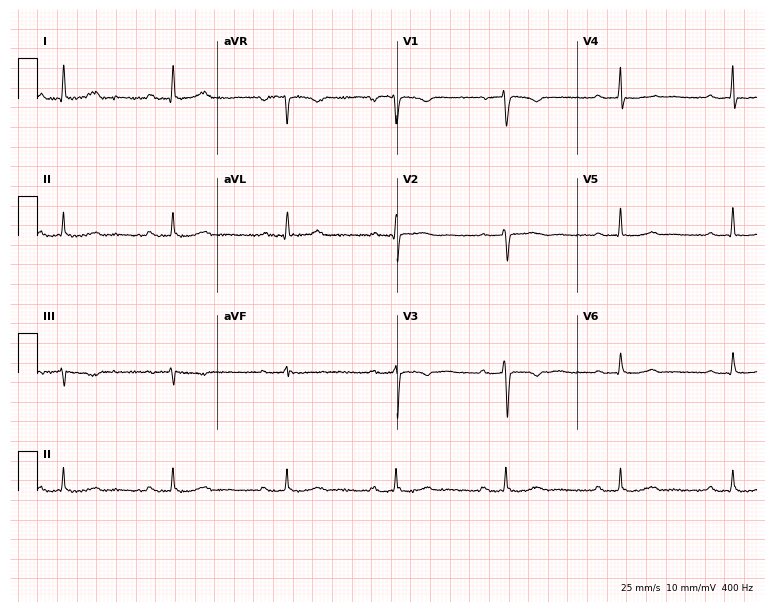
Electrocardiogram (7.3-second recording at 400 Hz), a female, 46 years old. Overall reading on record: normal ECG.